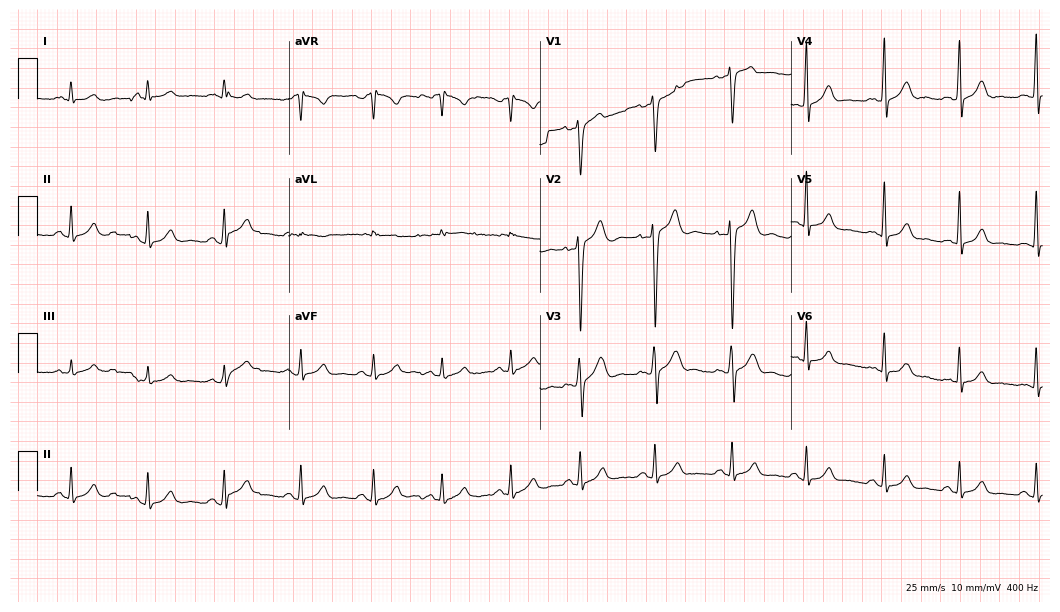
12-lead ECG from a man, 27 years old (10.2-second recording at 400 Hz). No first-degree AV block, right bundle branch block (RBBB), left bundle branch block (LBBB), sinus bradycardia, atrial fibrillation (AF) or sinus tachycardia recorded for this tracing. Only these six findings were labelled.